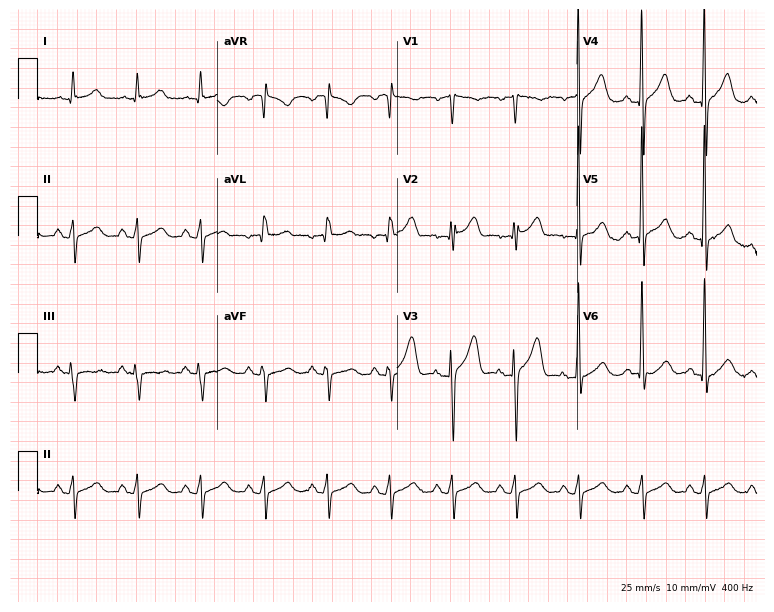
ECG (7.3-second recording at 400 Hz) — a 78-year-old man. Screened for six findings — first-degree AV block, right bundle branch block (RBBB), left bundle branch block (LBBB), sinus bradycardia, atrial fibrillation (AF), sinus tachycardia — none is recorded. Only these six findings were labelled.